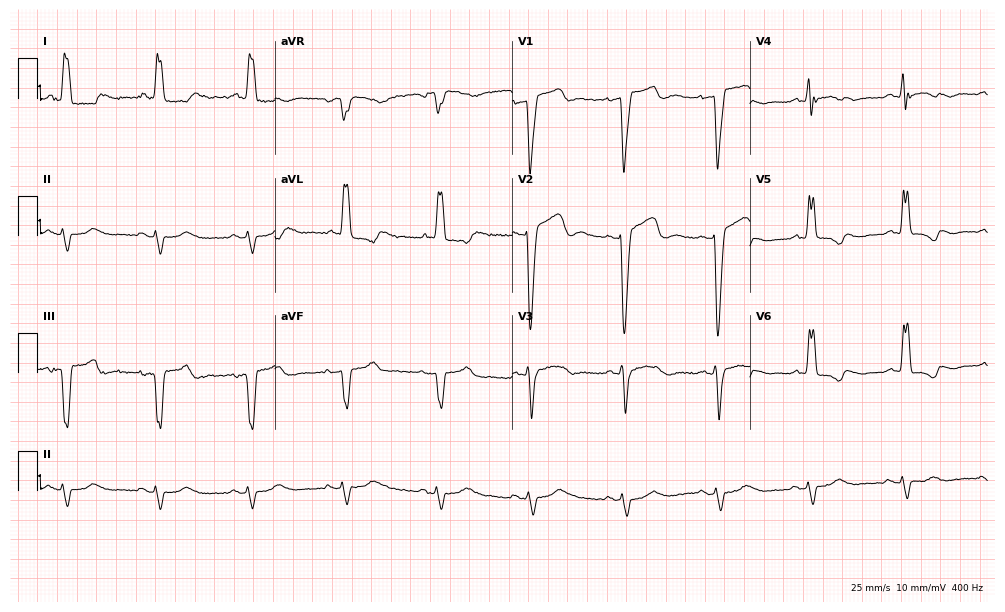
ECG (9.7-second recording at 400 Hz) — a 79-year-old female. Findings include left bundle branch block.